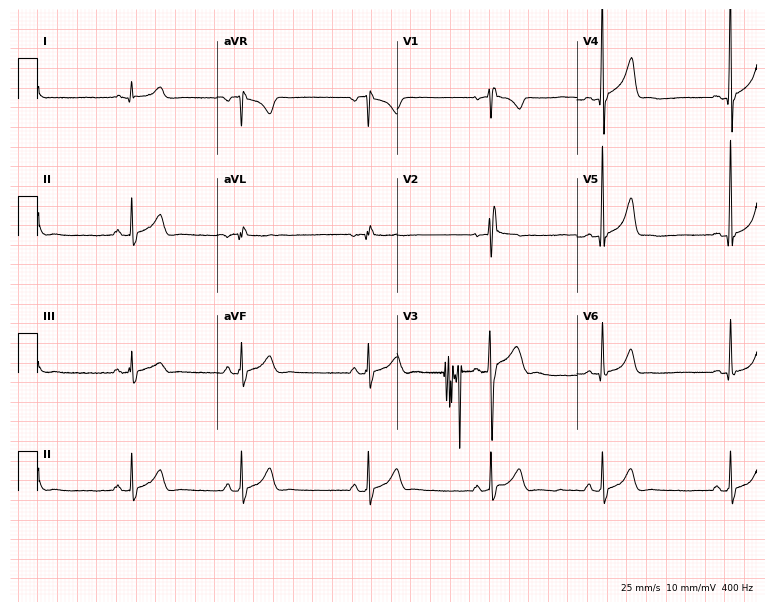
Resting 12-lead electrocardiogram (7.3-second recording at 400 Hz). Patient: a male, 21 years old. None of these six findings is recorded: first-degree AV block, right bundle branch block, left bundle branch block, sinus bradycardia, atrial fibrillation, sinus tachycardia.